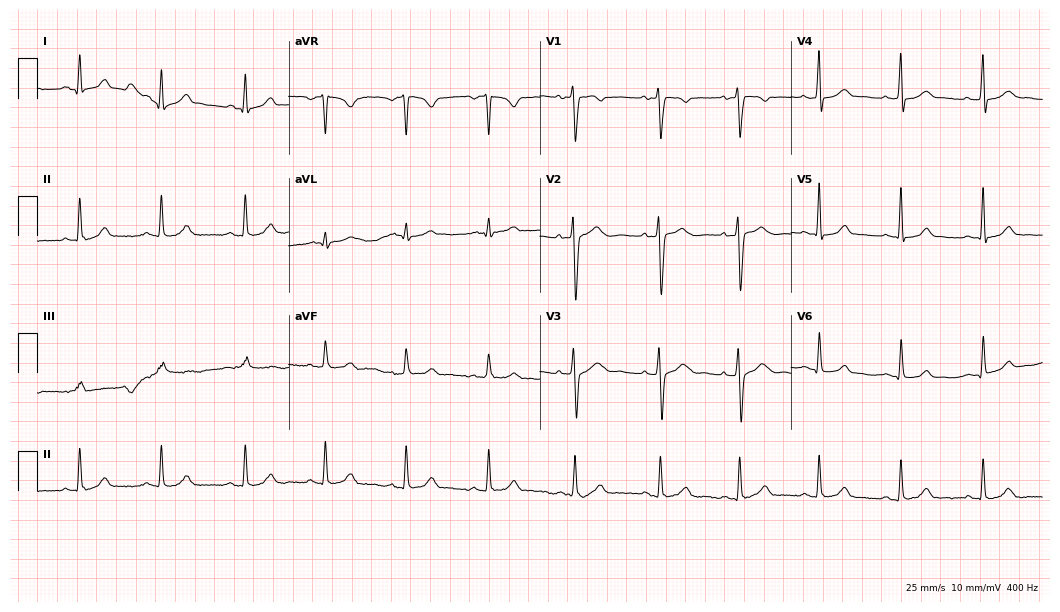
Standard 12-lead ECG recorded from a woman, 26 years old. Read as a normal ECG.